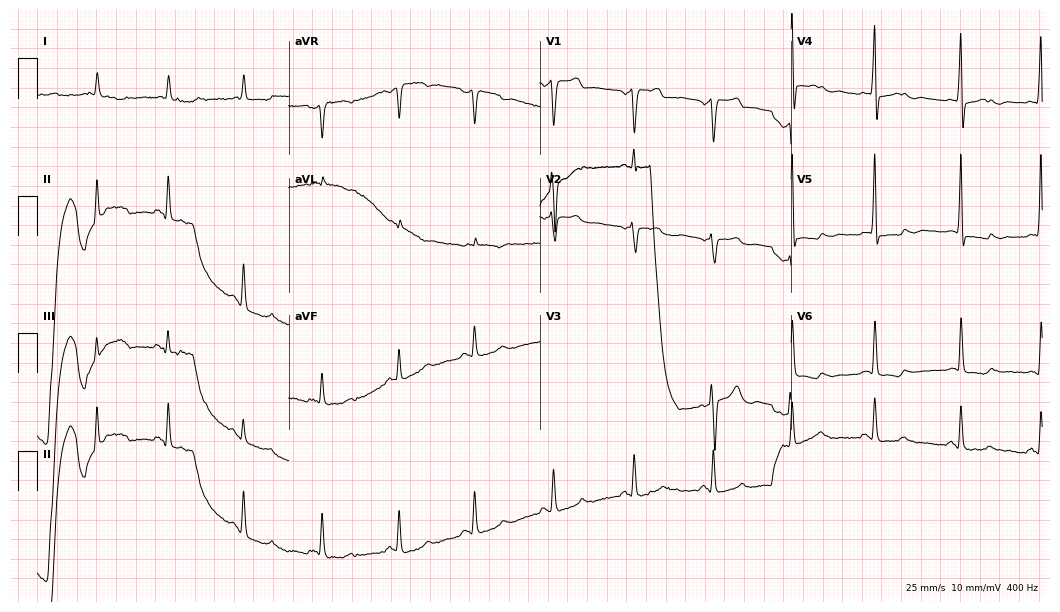
Electrocardiogram (10.2-second recording at 400 Hz), a 62-year-old man. Of the six screened findings (first-degree AV block, right bundle branch block, left bundle branch block, sinus bradycardia, atrial fibrillation, sinus tachycardia), none is recorded.